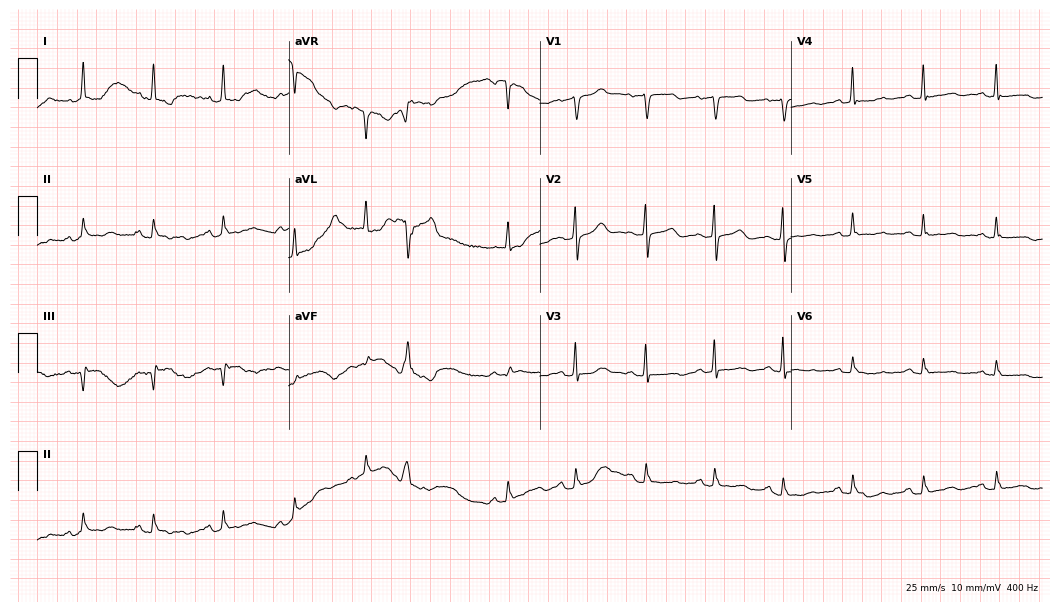
Electrocardiogram (10.2-second recording at 400 Hz), a female, 80 years old. Overall reading on record: normal ECG.